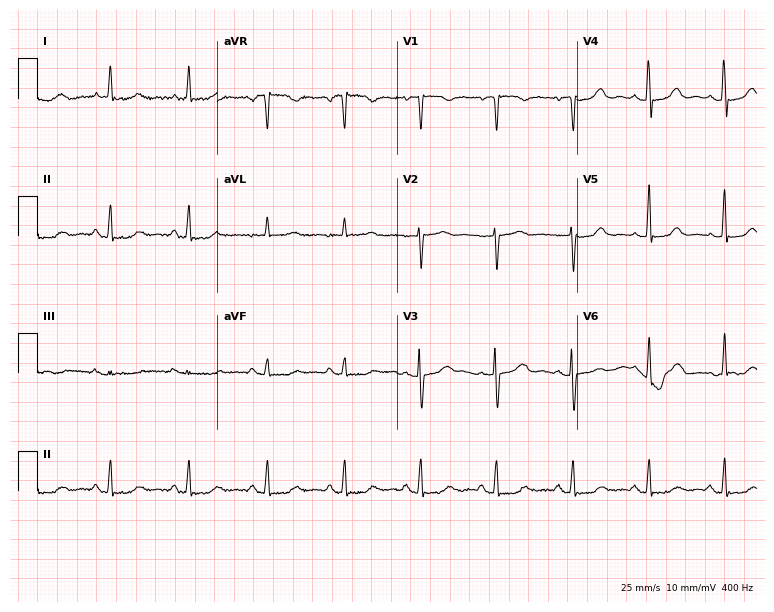
Resting 12-lead electrocardiogram (7.3-second recording at 400 Hz). Patient: a woman, 58 years old. Read as a normal ECG.